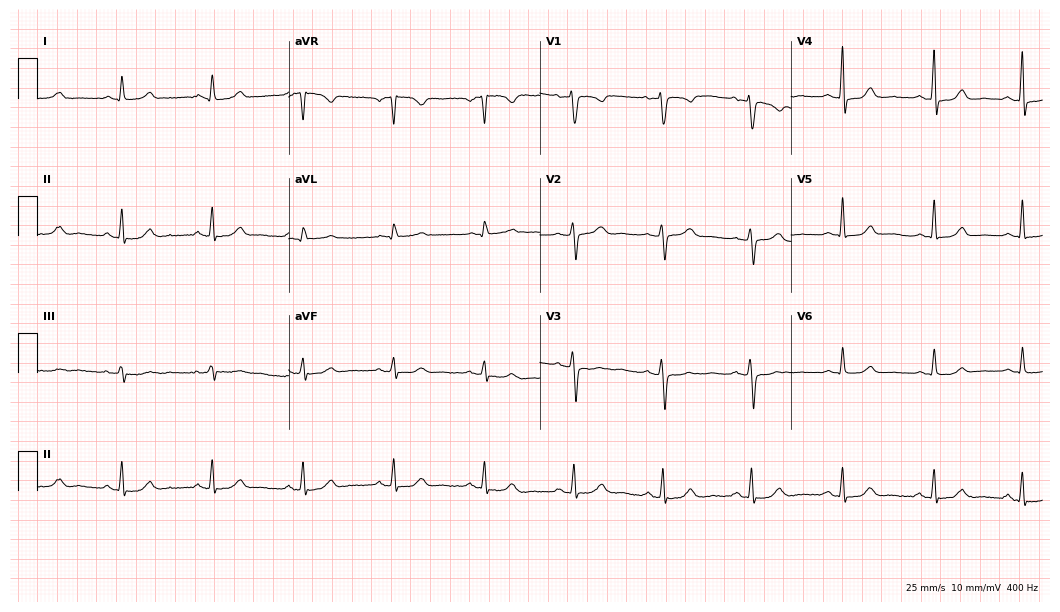
12-lead ECG from a 67-year-old female. Recorded interpretation: within normal limits.